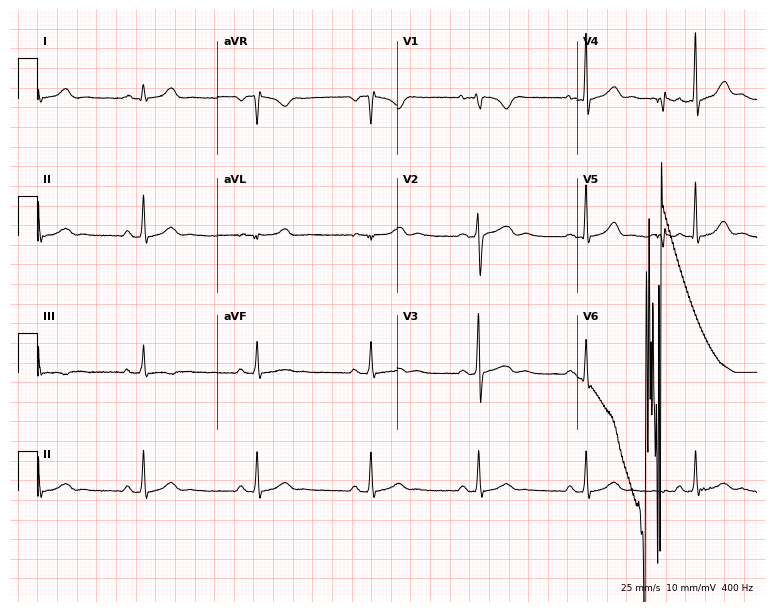
Resting 12-lead electrocardiogram (7.3-second recording at 400 Hz). Patient: a 22-year-old female. Read as a normal ECG.